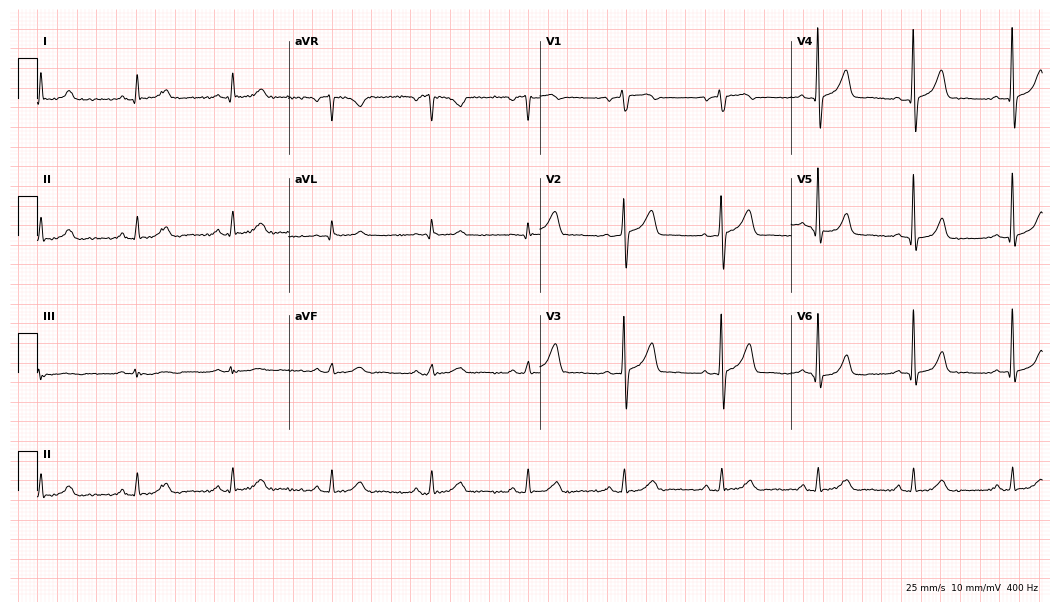
Standard 12-lead ECG recorded from a 65-year-old man. Read as a normal ECG.